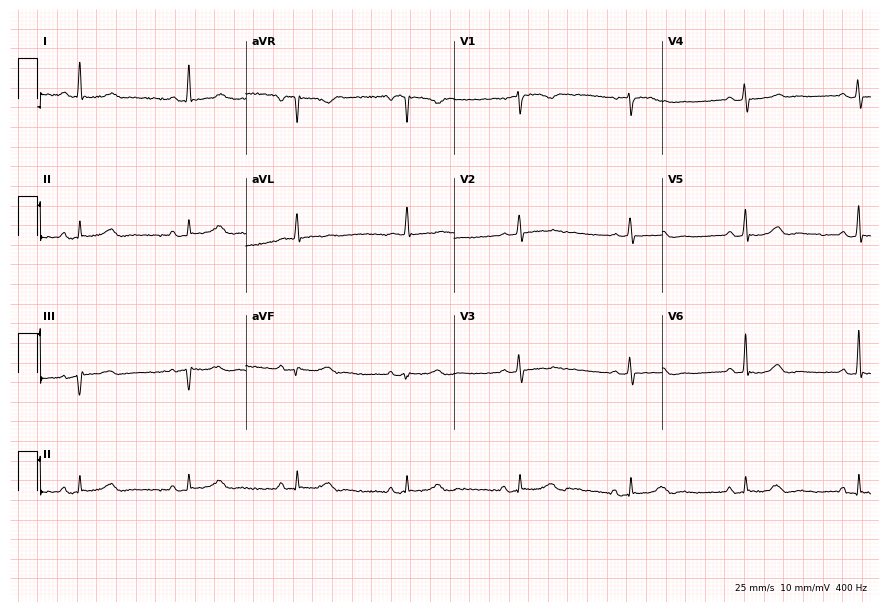
Resting 12-lead electrocardiogram (8.5-second recording at 400 Hz). Patient: a 68-year-old female. None of these six findings is recorded: first-degree AV block, right bundle branch block, left bundle branch block, sinus bradycardia, atrial fibrillation, sinus tachycardia. Findings outside these six are not listed.